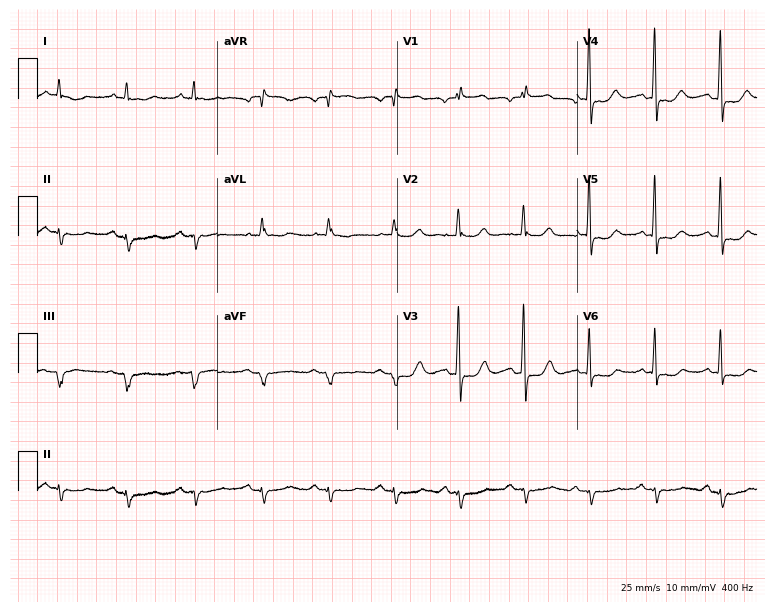
12-lead ECG from a man, 63 years old. No first-degree AV block, right bundle branch block (RBBB), left bundle branch block (LBBB), sinus bradycardia, atrial fibrillation (AF) or sinus tachycardia recorded for this tracing.